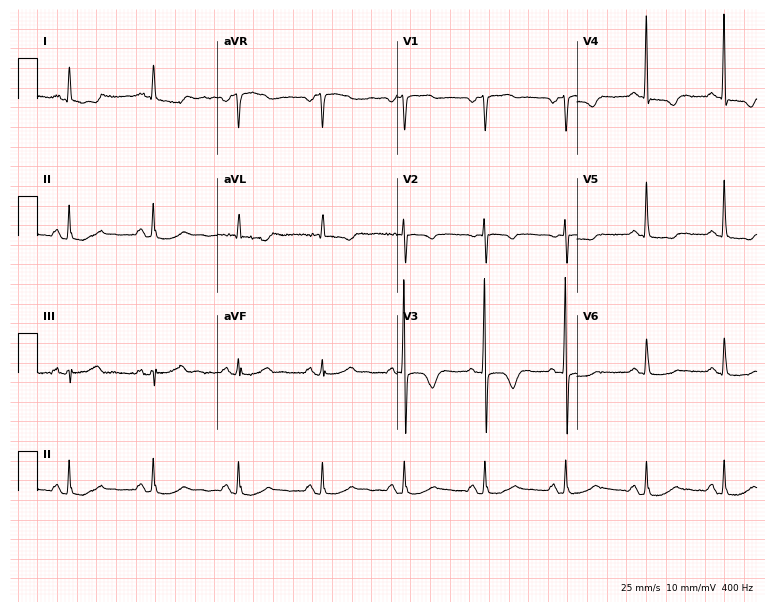
12-lead ECG from a 68-year-old female. No first-degree AV block, right bundle branch block, left bundle branch block, sinus bradycardia, atrial fibrillation or sinus tachycardia recorded for this tracing. Other findings, if any, are not listed.